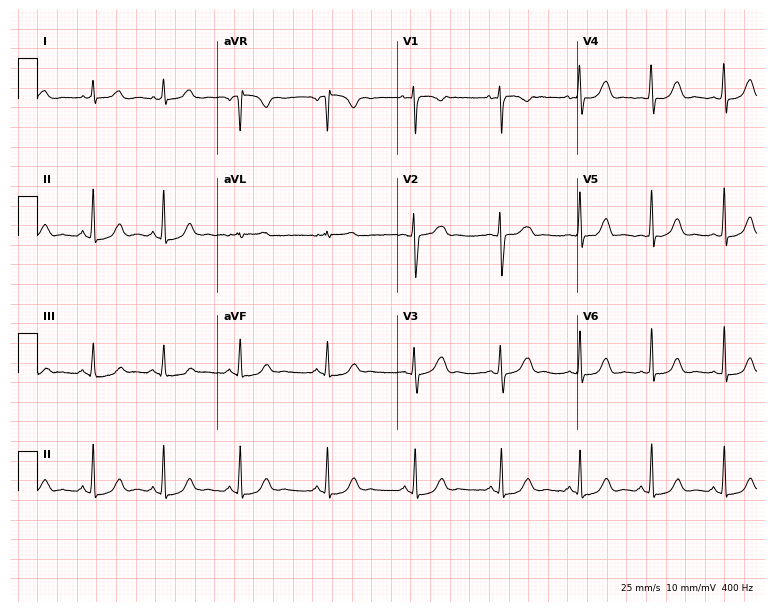
Resting 12-lead electrocardiogram. Patient: a female, 34 years old. Read as a normal ECG.